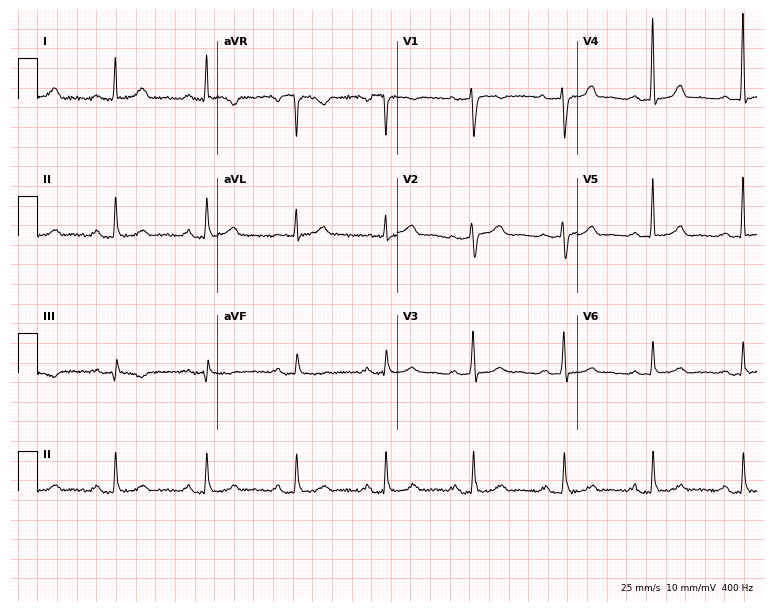
Standard 12-lead ECG recorded from a woman, 54 years old (7.3-second recording at 400 Hz). The tracing shows first-degree AV block.